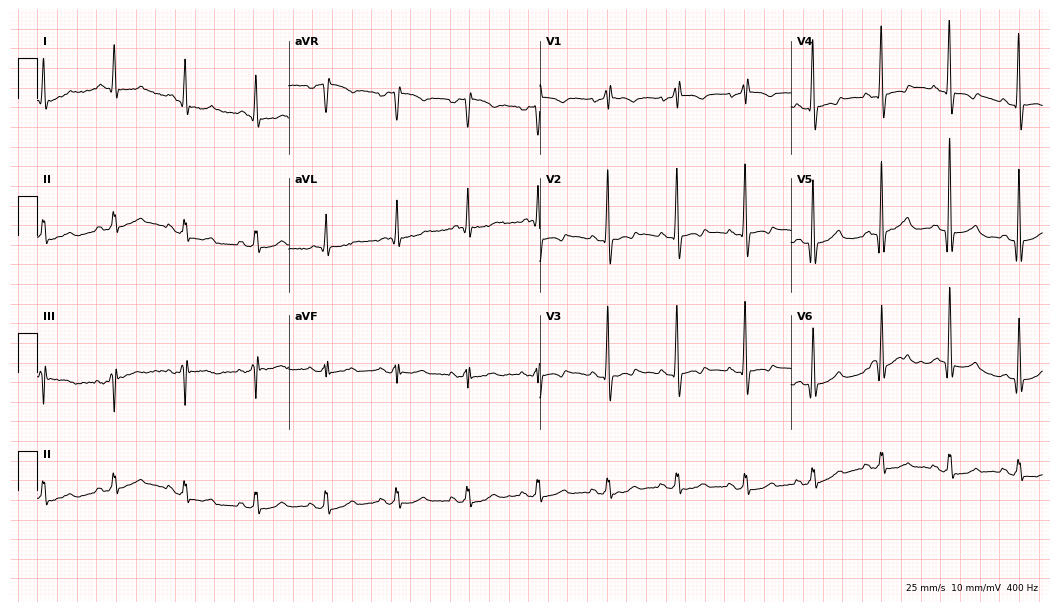
12-lead ECG from a man, 77 years old. No first-degree AV block, right bundle branch block (RBBB), left bundle branch block (LBBB), sinus bradycardia, atrial fibrillation (AF) or sinus tachycardia recorded for this tracing. Other findings, if any, are not listed.